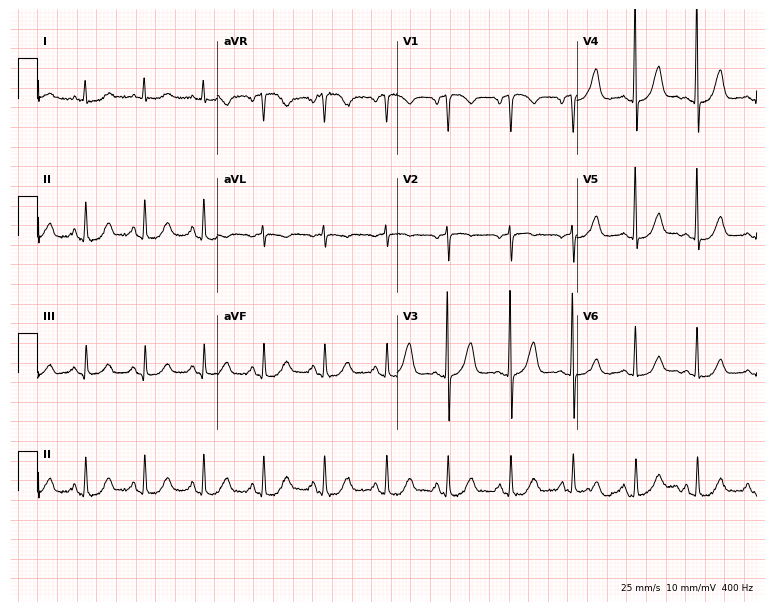
Resting 12-lead electrocardiogram. Patient: a 53-year-old woman. Read as a normal ECG.